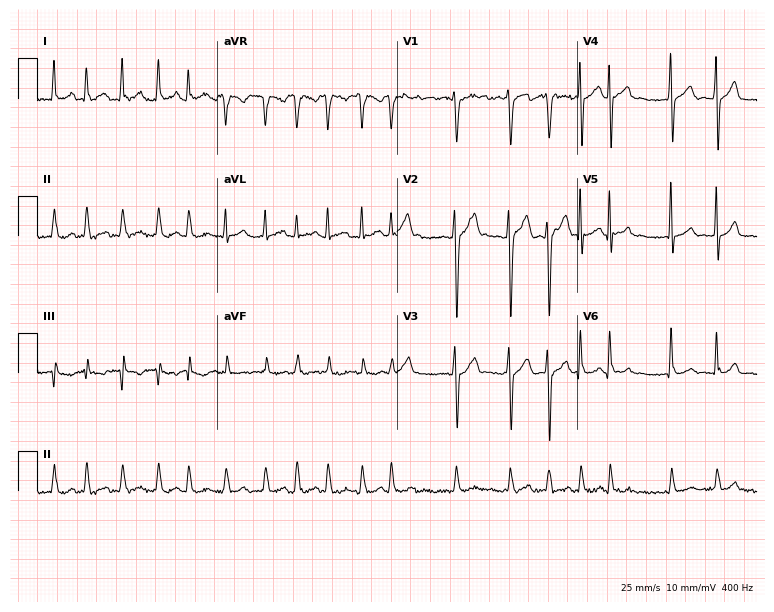
Electrocardiogram (7.3-second recording at 400 Hz), a male, 35 years old. Interpretation includes atrial fibrillation (AF), sinus tachycardia (a sinus rate of 100 beats per minute or more).